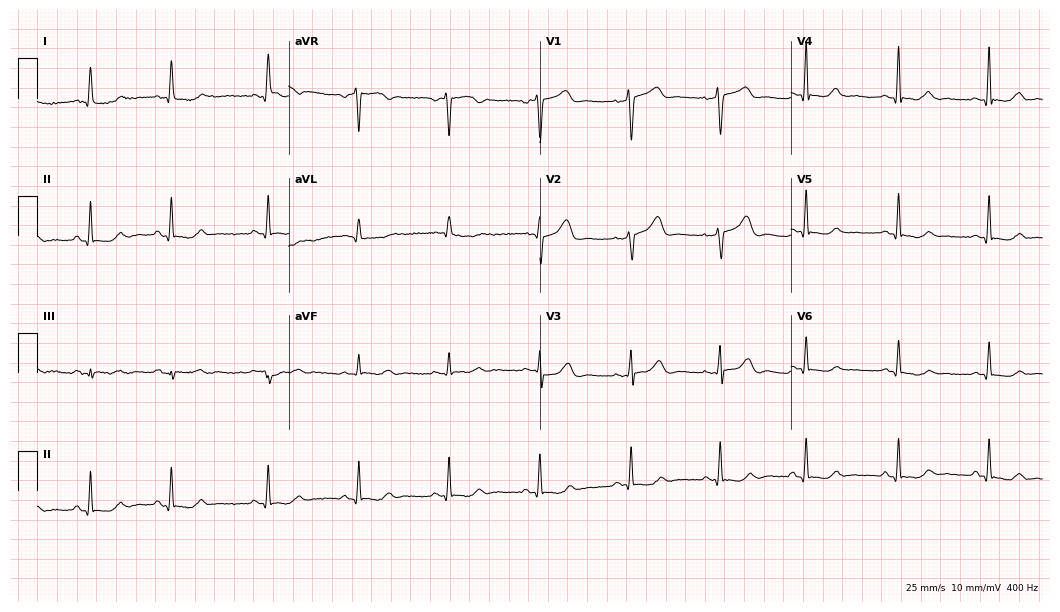
Resting 12-lead electrocardiogram. Patient: a 55-year-old female. Read as a normal ECG.